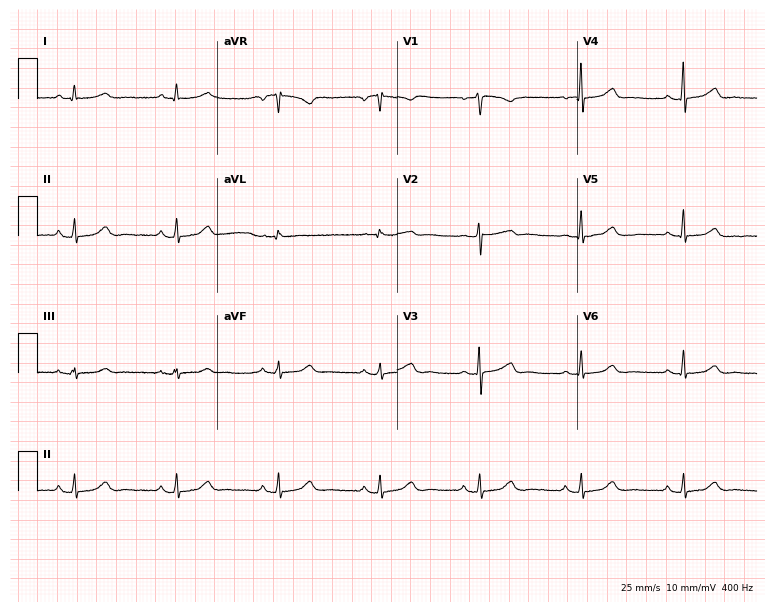
12-lead ECG from a woman, 46 years old. No first-degree AV block, right bundle branch block, left bundle branch block, sinus bradycardia, atrial fibrillation or sinus tachycardia recorded for this tracing. Other findings, if any, are not listed.